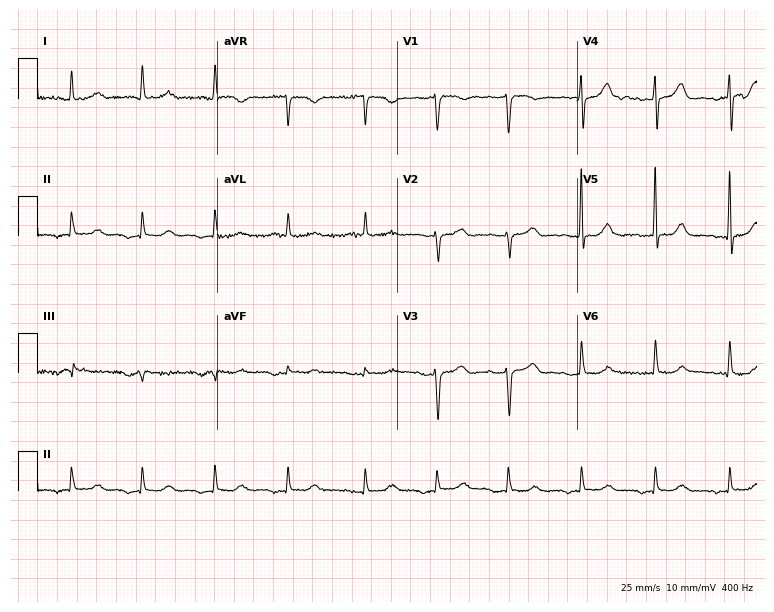
ECG (7.3-second recording at 400 Hz) — a female, 76 years old. Screened for six findings — first-degree AV block, right bundle branch block, left bundle branch block, sinus bradycardia, atrial fibrillation, sinus tachycardia — none is recorded.